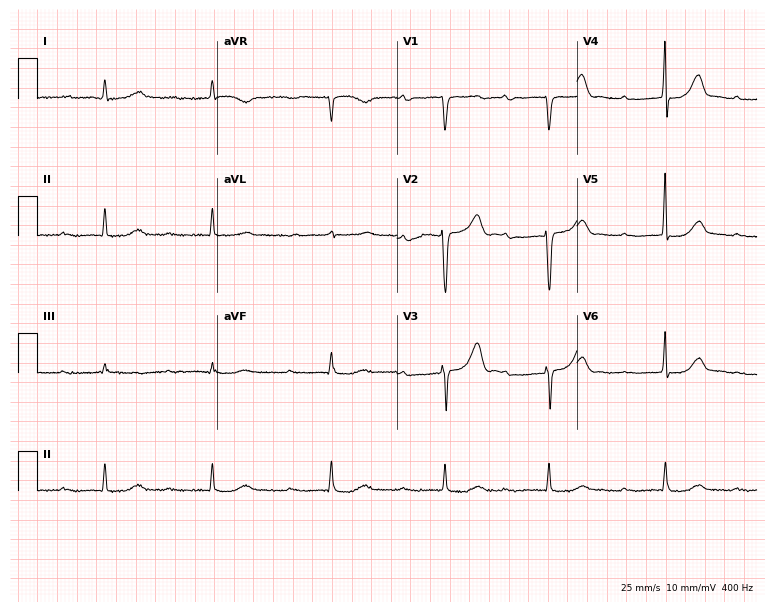
Electrocardiogram, a man, 75 years old. Interpretation includes first-degree AV block.